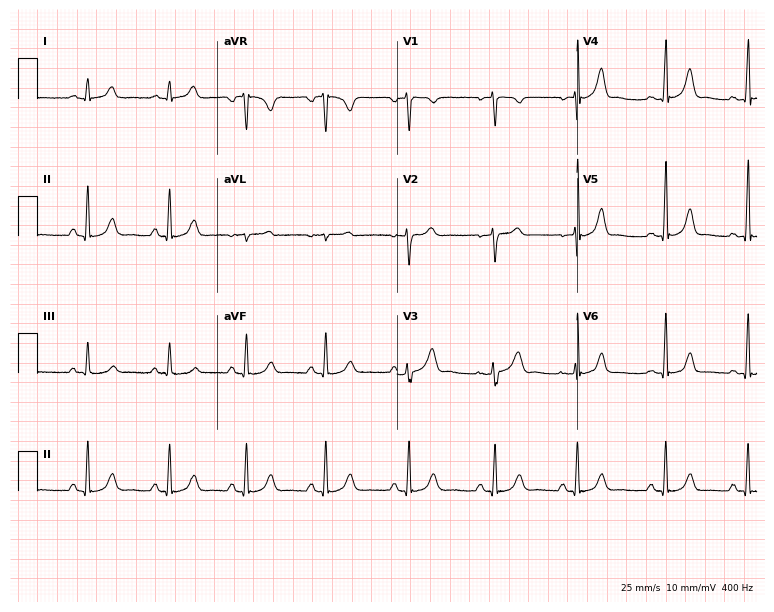
12-lead ECG from a woman, 30 years old (7.3-second recording at 400 Hz). No first-degree AV block, right bundle branch block, left bundle branch block, sinus bradycardia, atrial fibrillation or sinus tachycardia recorded for this tracing.